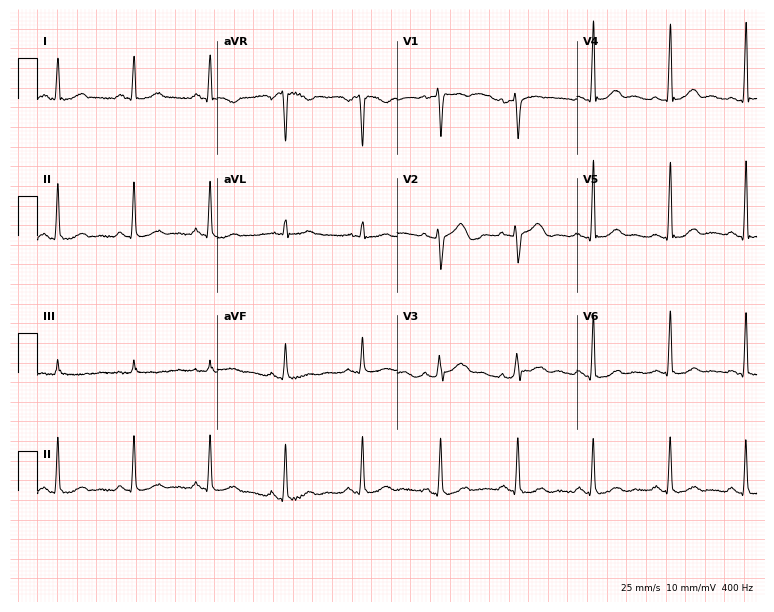
12-lead ECG from a woman, 47 years old (7.3-second recording at 400 Hz). No first-degree AV block, right bundle branch block, left bundle branch block, sinus bradycardia, atrial fibrillation or sinus tachycardia recorded for this tracing. Findings outside these six are not listed.